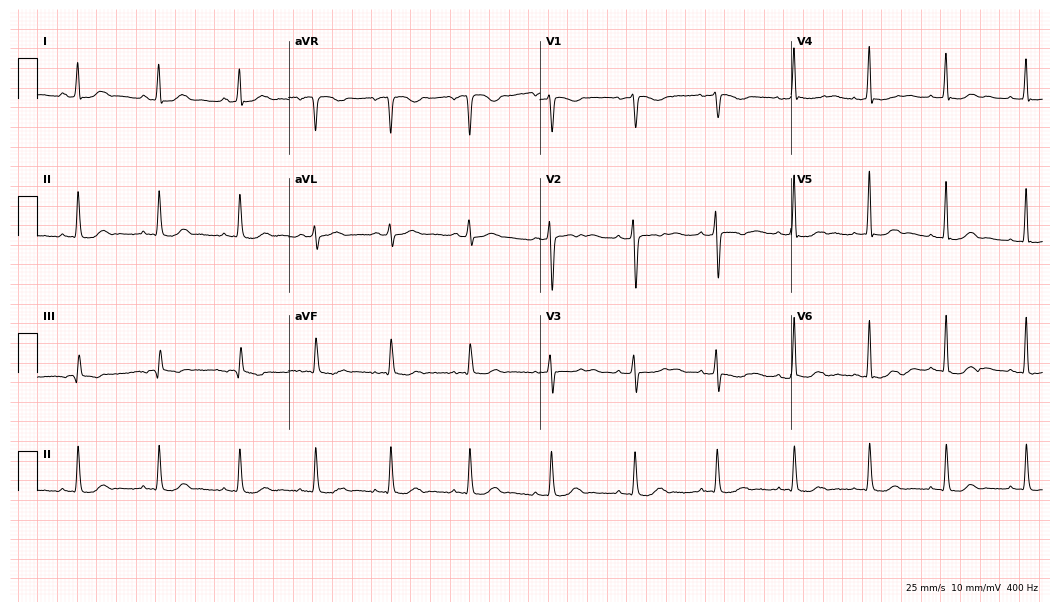
ECG (10.2-second recording at 400 Hz) — a female, 38 years old. Screened for six findings — first-degree AV block, right bundle branch block (RBBB), left bundle branch block (LBBB), sinus bradycardia, atrial fibrillation (AF), sinus tachycardia — none is recorded.